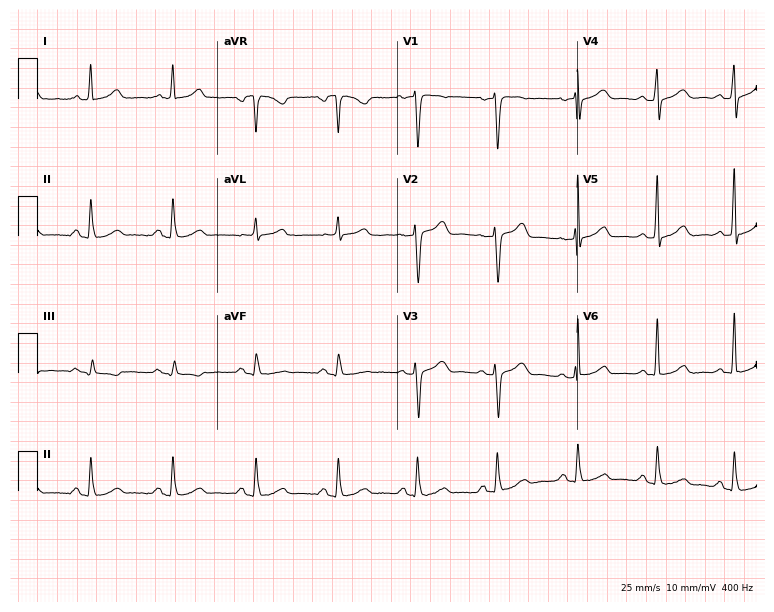
Standard 12-lead ECG recorded from a woman, 38 years old (7.3-second recording at 400 Hz). None of these six findings is recorded: first-degree AV block, right bundle branch block, left bundle branch block, sinus bradycardia, atrial fibrillation, sinus tachycardia. Other findings, if any, are not listed.